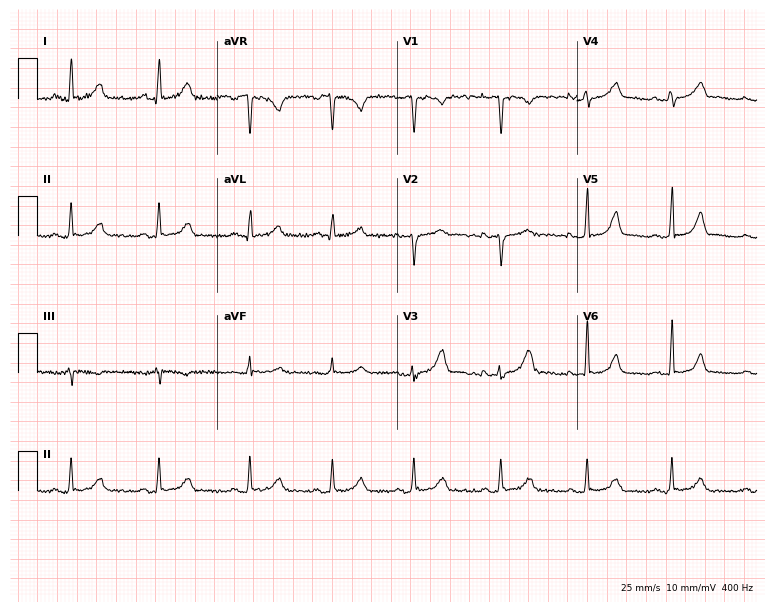
ECG (7.3-second recording at 400 Hz) — a 38-year-old female. Labelled as a normal ECG.